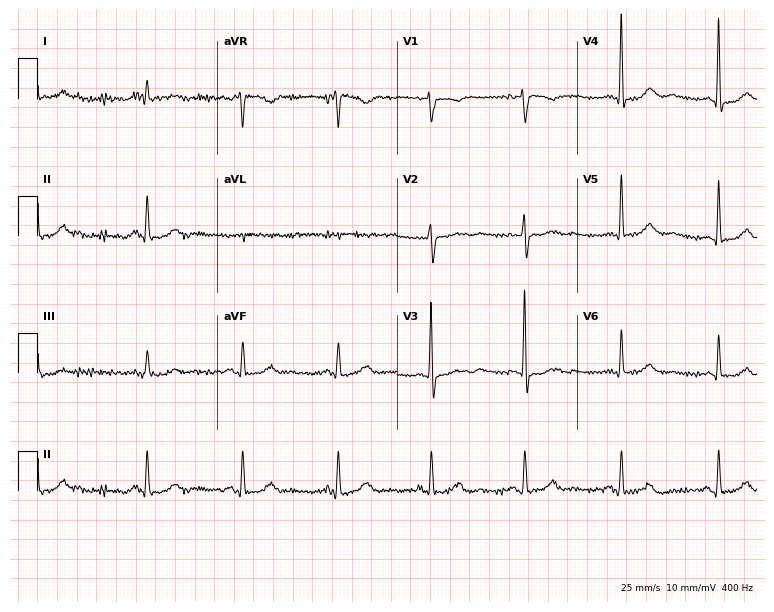
12-lead ECG from a 71-year-old woman (7.3-second recording at 400 Hz). No first-degree AV block, right bundle branch block, left bundle branch block, sinus bradycardia, atrial fibrillation or sinus tachycardia recorded for this tracing. Other findings, if any, are not listed.